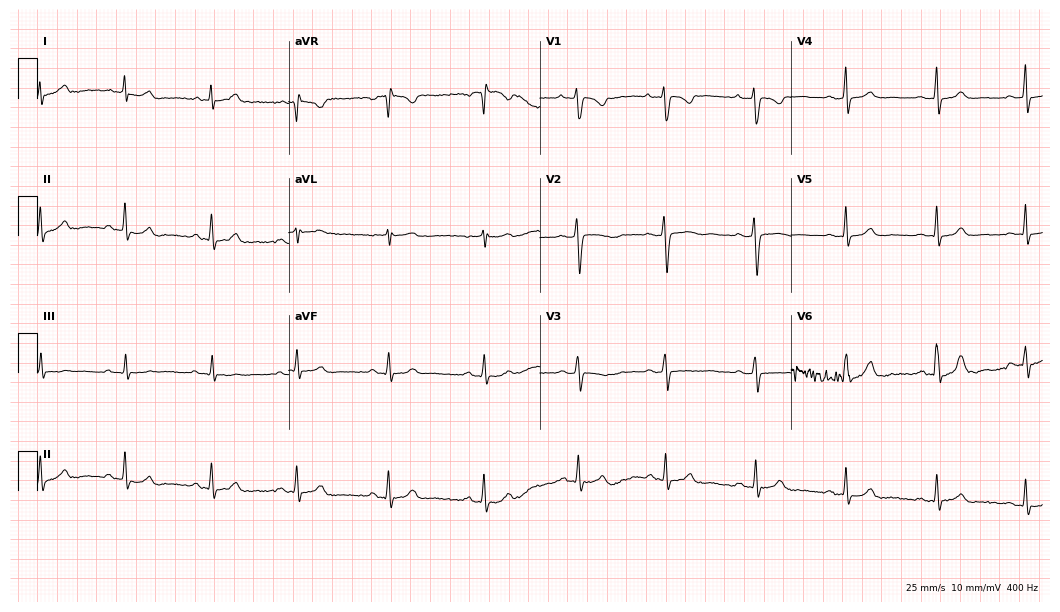
Resting 12-lead electrocardiogram. Patient: a female, 28 years old. Read as a normal ECG.